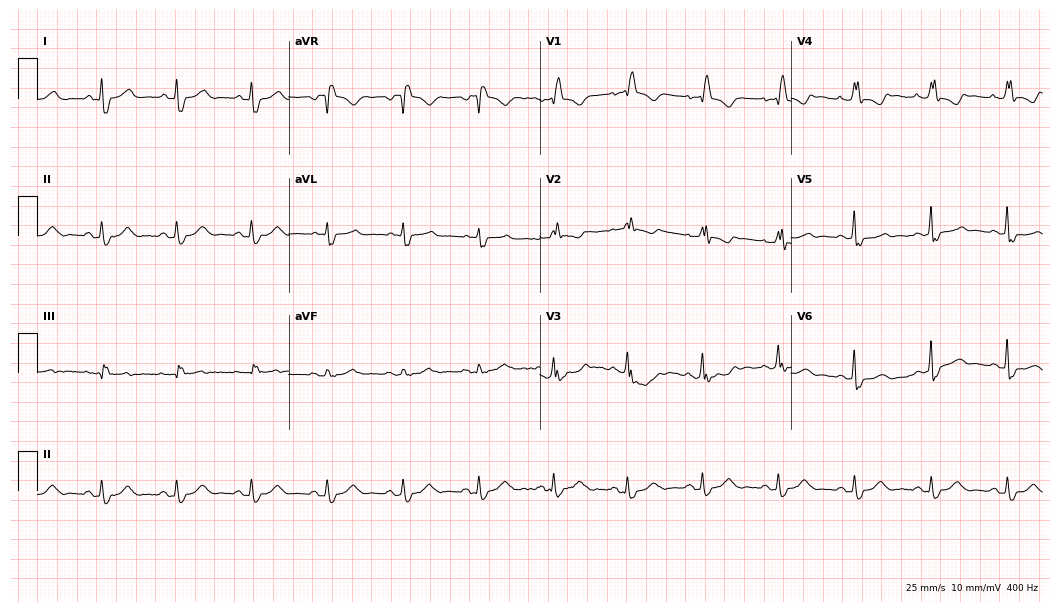
12-lead ECG from a 73-year-old woman (10.2-second recording at 400 Hz). Shows right bundle branch block (RBBB).